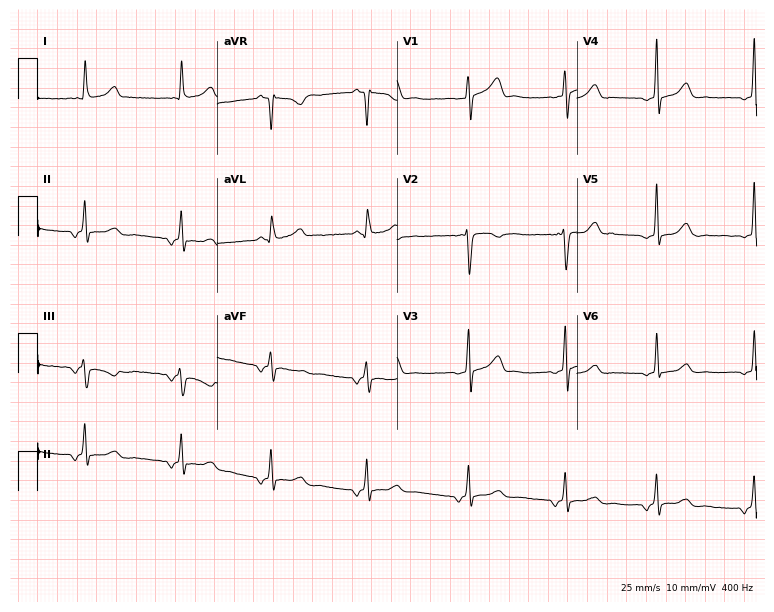
Electrocardiogram, a 37-year-old female. Of the six screened findings (first-degree AV block, right bundle branch block (RBBB), left bundle branch block (LBBB), sinus bradycardia, atrial fibrillation (AF), sinus tachycardia), none is recorded. Only these six findings were labelled.